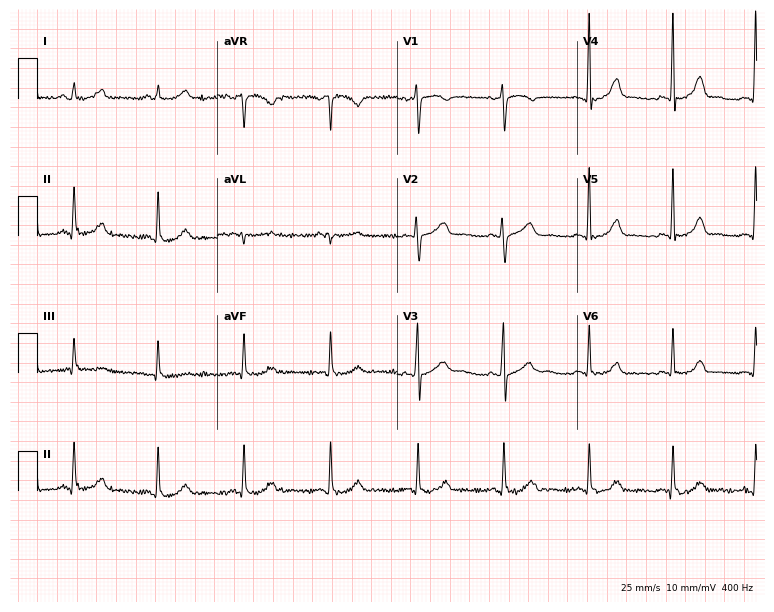
Electrocardiogram (7.3-second recording at 400 Hz), a 32-year-old female patient. Overall reading on record: normal ECG.